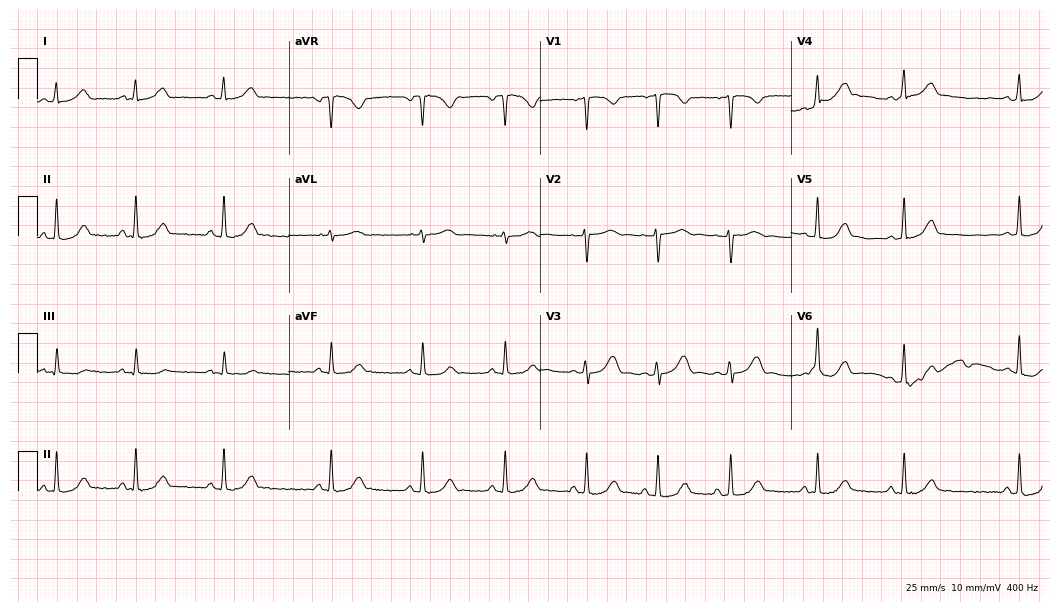
Standard 12-lead ECG recorded from a 26-year-old female. Read as a normal ECG.